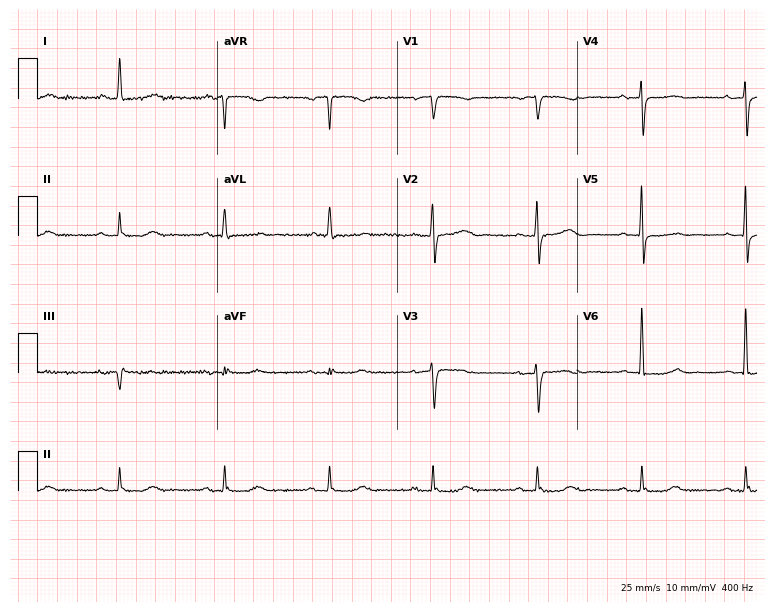
Resting 12-lead electrocardiogram (7.3-second recording at 400 Hz). Patient: a 77-year-old female. None of these six findings is recorded: first-degree AV block, right bundle branch block, left bundle branch block, sinus bradycardia, atrial fibrillation, sinus tachycardia.